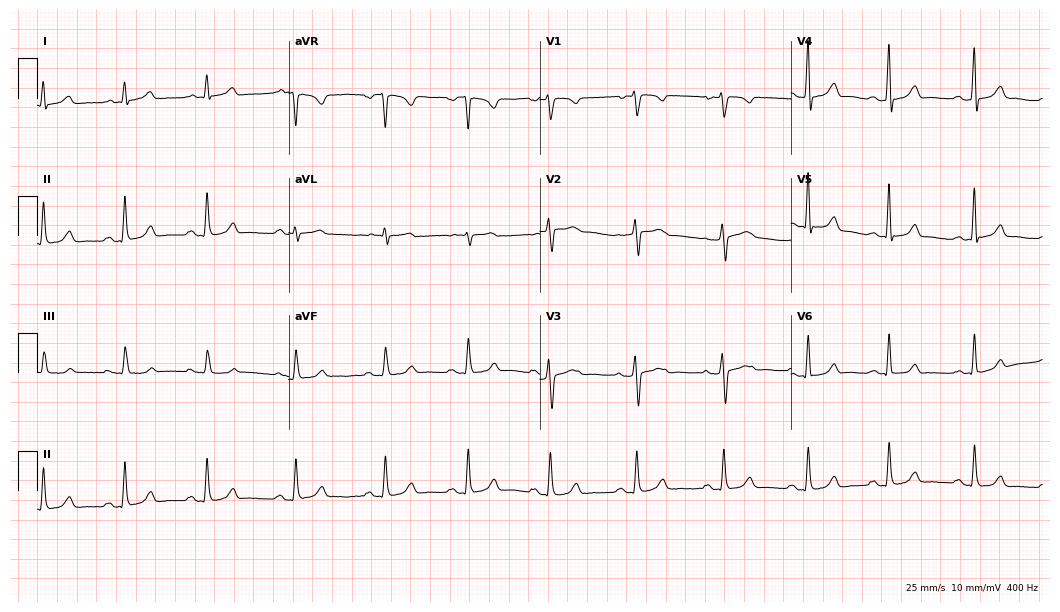
Resting 12-lead electrocardiogram (10.2-second recording at 400 Hz). Patient: a woman, 34 years old. Read as a normal ECG.